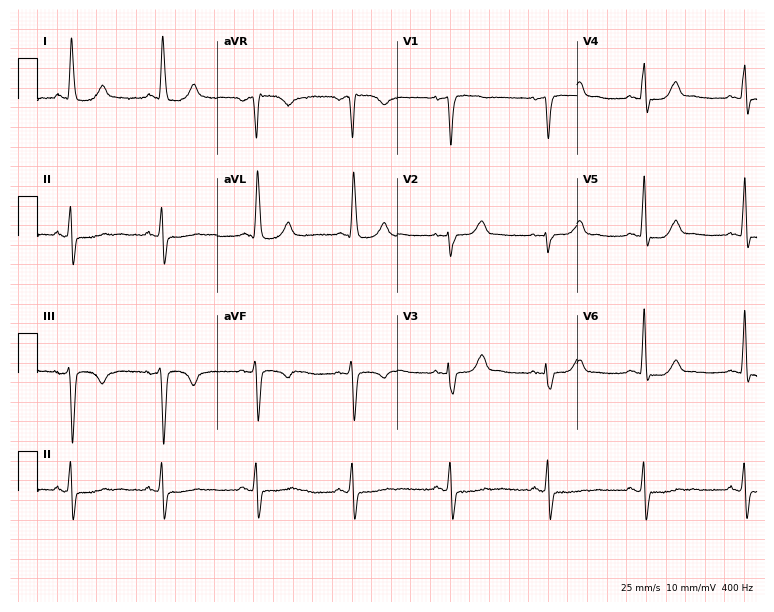
12-lead ECG from a woman, 64 years old. No first-degree AV block, right bundle branch block, left bundle branch block, sinus bradycardia, atrial fibrillation or sinus tachycardia recorded for this tracing. Other findings, if any, are not listed.